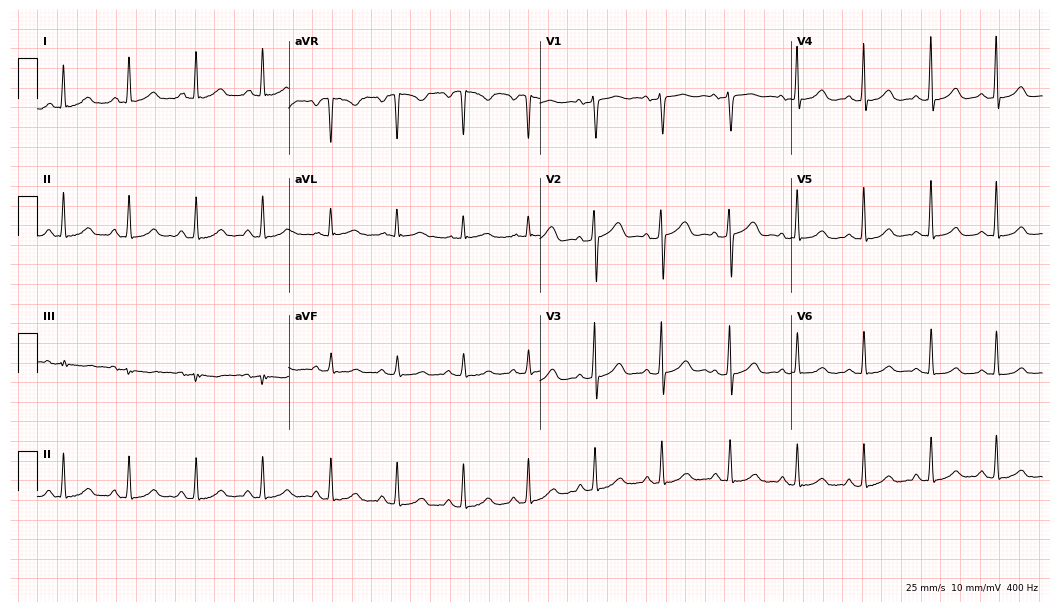
ECG — a woman, 64 years old. Labelled as a normal ECG.